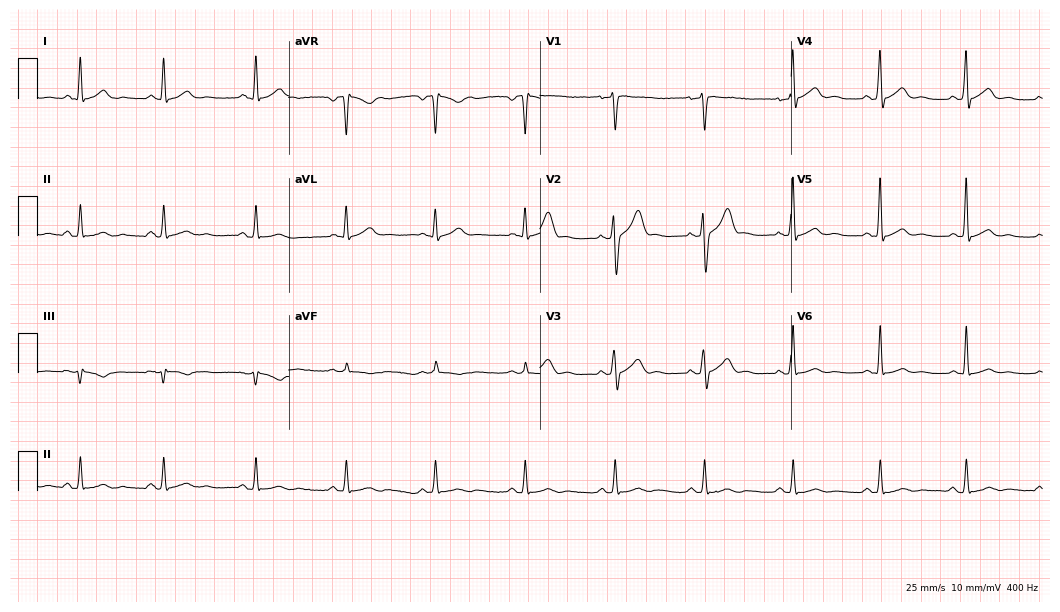
12-lead ECG (10.2-second recording at 400 Hz) from a male, 43 years old. Labelled as a normal ECG.